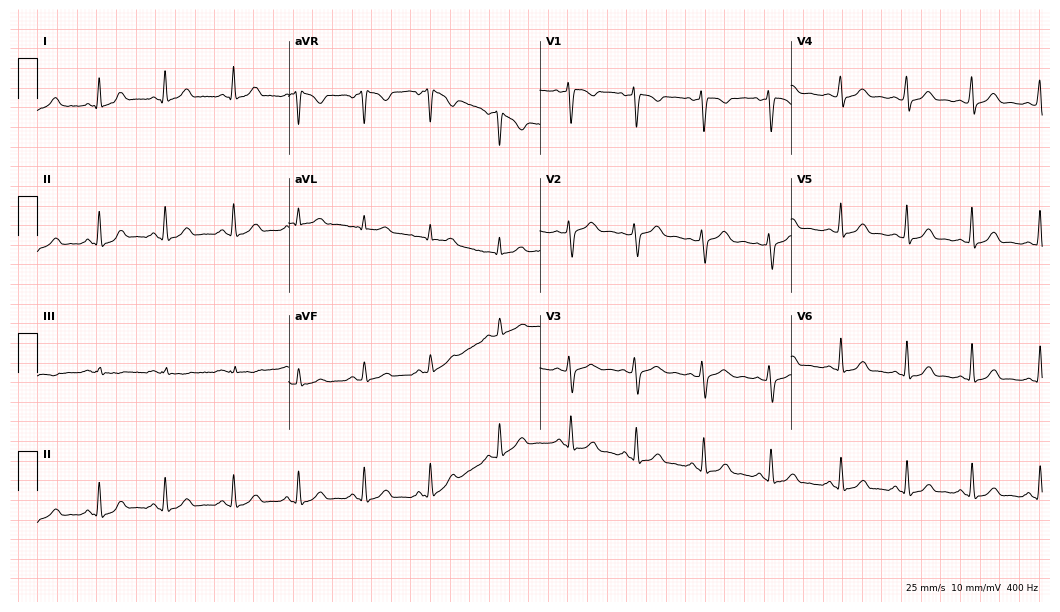
12-lead ECG (10.2-second recording at 400 Hz) from a female, 31 years old. Screened for six findings — first-degree AV block, right bundle branch block (RBBB), left bundle branch block (LBBB), sinus bradycardia, atrial fibrillation (AF), sinus tachycardia — none is recorded.